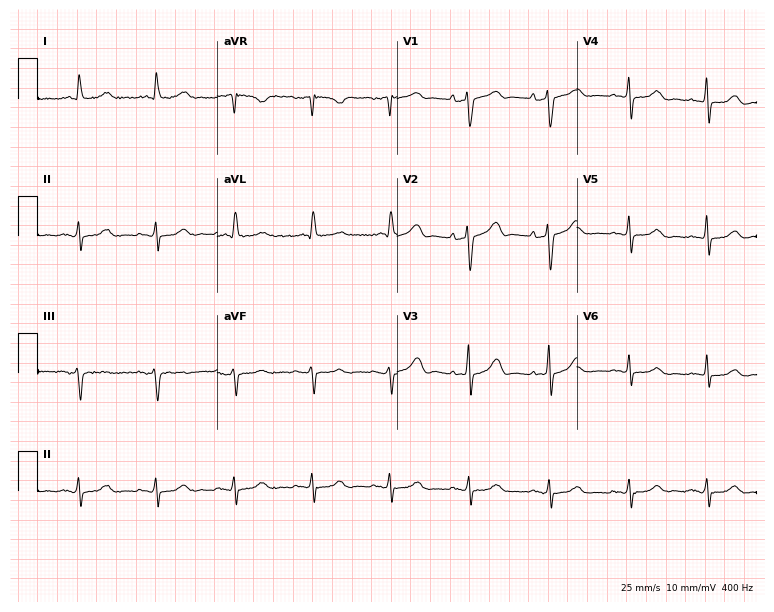
Electrocardiogram (7.3-second recording at 400 Hz), an 80-year-old female. Of the six screened findings (first-degree AV block, right bundle branch block, left bundle branch block, sinus bradycardia, atrial fibrillation, sinus tachycardia), none is recorded. Only these six findings were labelled.